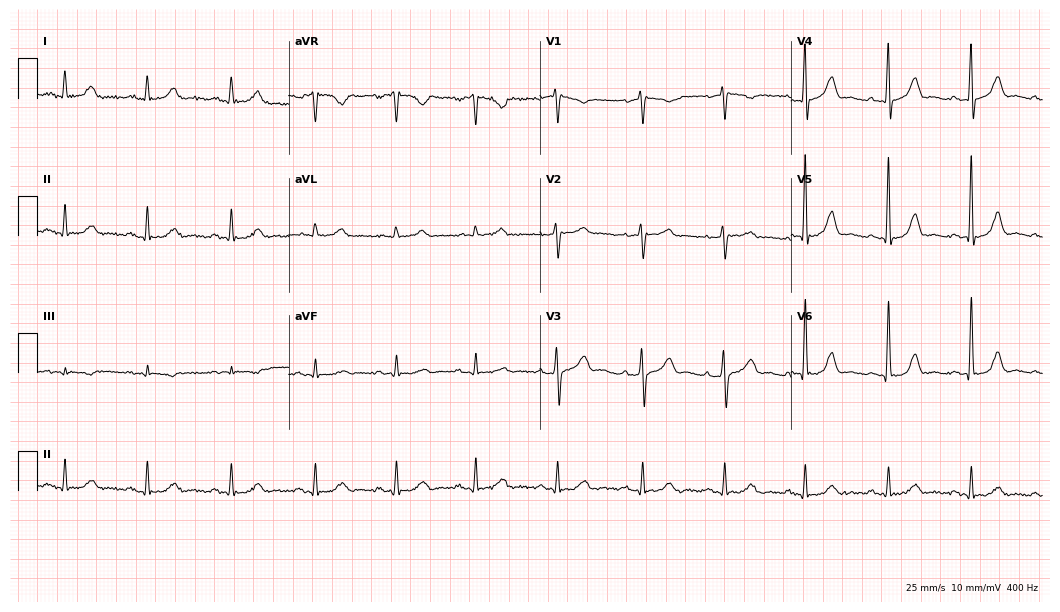
Electrocardiogram (10.2-second recording at 400 Hz), a 66-year-old man. Of the six screened findings (first-degree AV block, right bundle branch block, left bundle branch block, sinus bradycardia, atrial fibrillation, sinus tachycardia), none is recorded. Only these six findings were labelled.